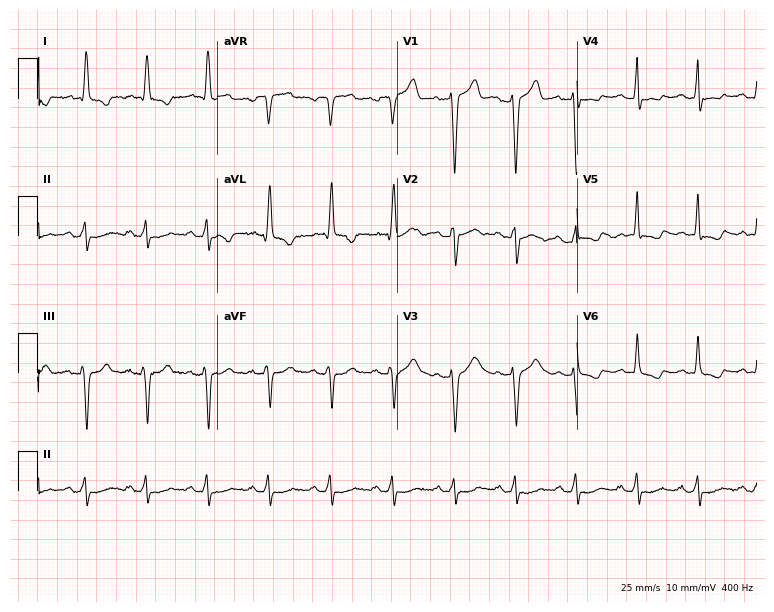
12-lead ECG from a 62-year-old male. No first-degree AV block, right bundle branch block, left bundle branch block, sinus bradycardia, atrial fibrillation or sinus tachycardia recorded for this tracing. Findings outside these six are not listed.